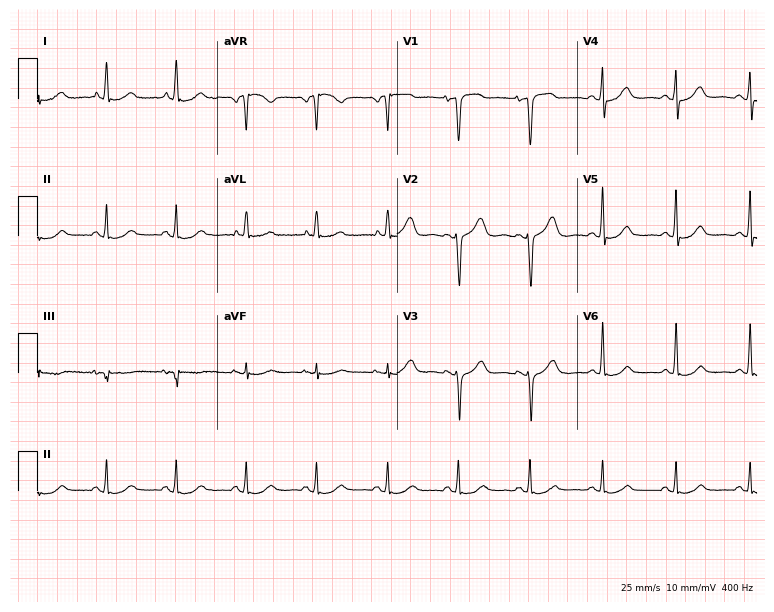
Electrocardiogram (7.3-second recording at 400 Hz), a female, 51 years old. Overall reading on record: normal ECG.